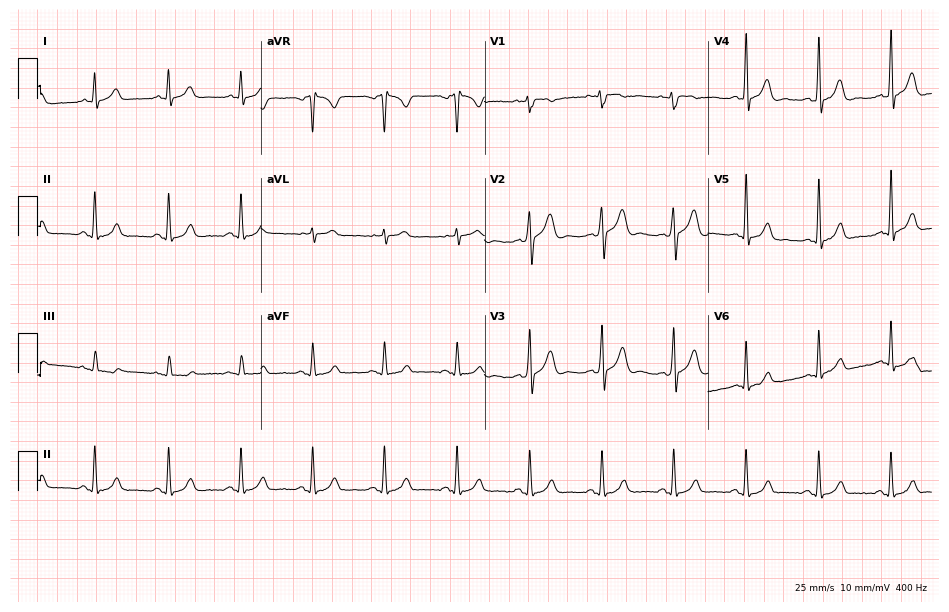
ECG — a male patient, 41 years old. Labelled as a normal ECG.